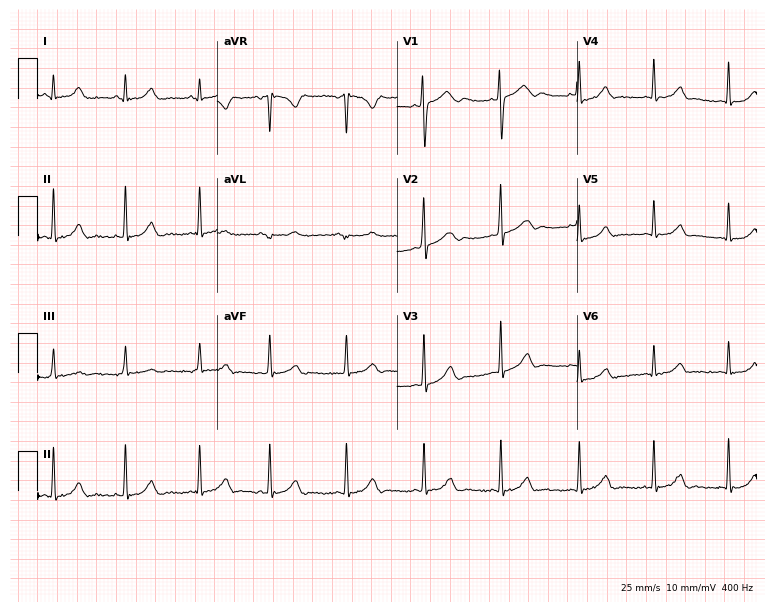
Resting 12-lead electrocardiogram (7.3-second recording at 400 Hz). Patient: a female, 18 years old. None of these six findings is recorded: first-degree AV block, right bundle branch block (RBBB), left bundle branch block (LBBB), sinus bradycardia, atrial fibrillation (AF), sinus tachycardia.